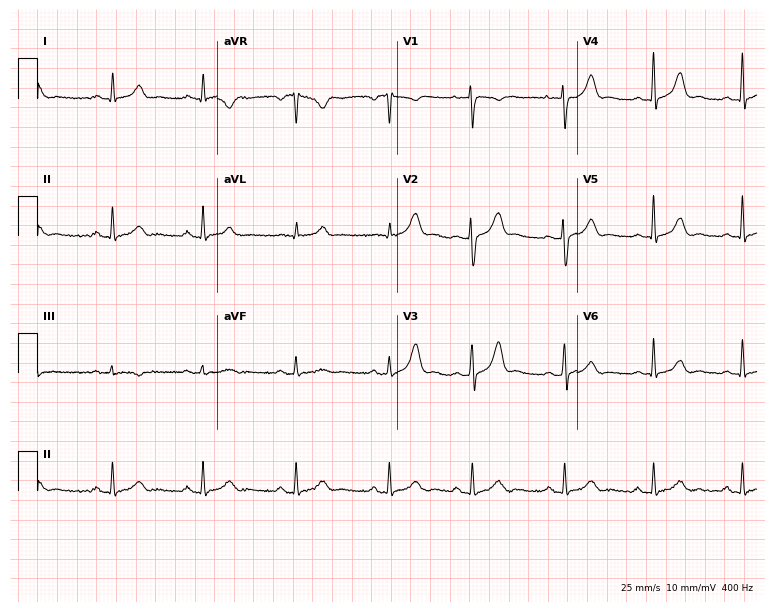
12-lead ECG from a 35-year-old female patient. Labelled as a normal ECG.